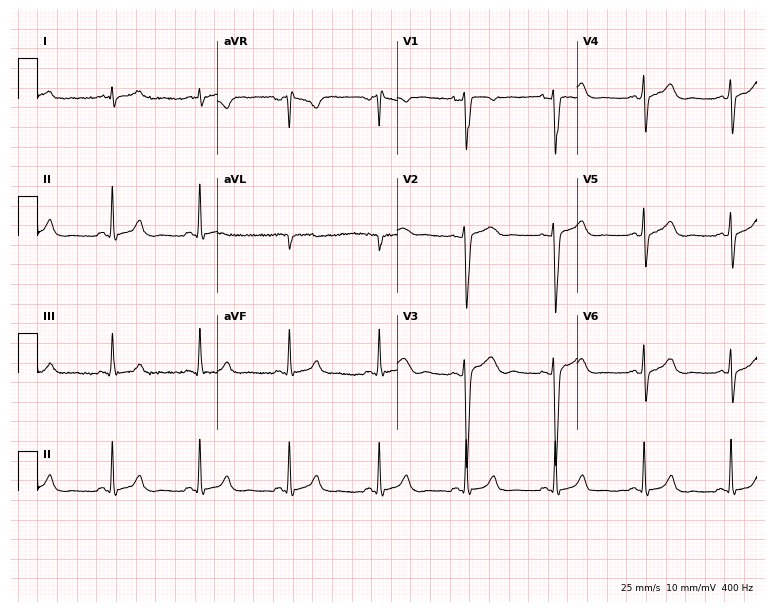
12-lead ECG from a 40-year-old male. Screened for six findings — first-degree AV block, right bundle branch block, left bundle branch block, sinus bradycardia, atrial fibrillation, sinus tachycardia — none is recorded.